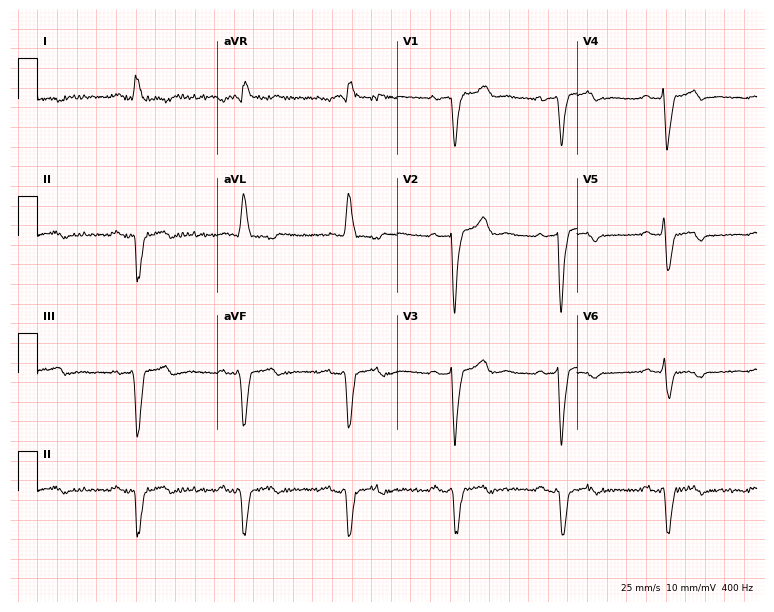
Standard 12-lead ECG recorded from a male, 72 years old (7.3-second recording at 400 Hz). None of these six findings is recorded: first-degree AV block, right bundle branch block (RBBB), left bundle branch block (LBBB), sinus bradycardia, atrial fibrillation (AF), sinus tachycardia.